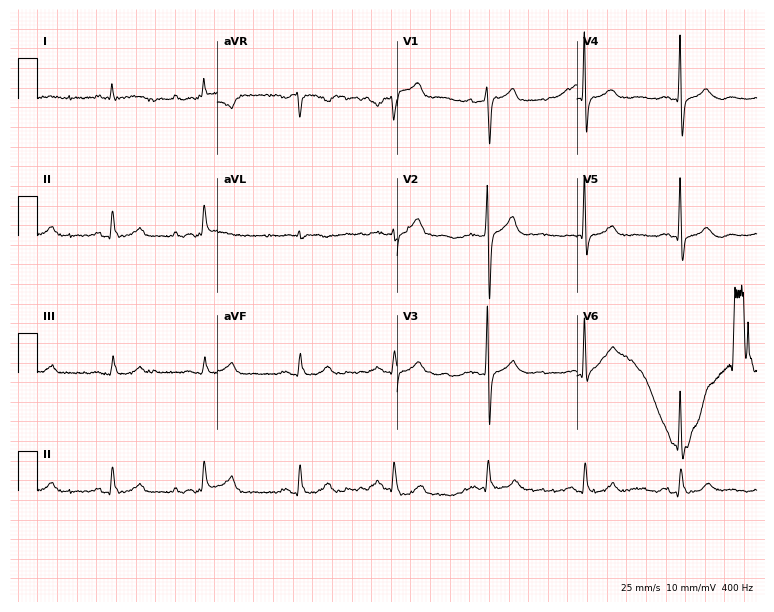
12-lead ECG from a 71-year-old male patient (7.3-second recording at 400 Hz). No first-degree AV block, right bundle branch block (RBBB), left bundle branch block (LBBB), sinus bradycardia, atrial fibrillation (AF) or sinus tachycardia recorded for this tracing. Only these six findings were labelled.